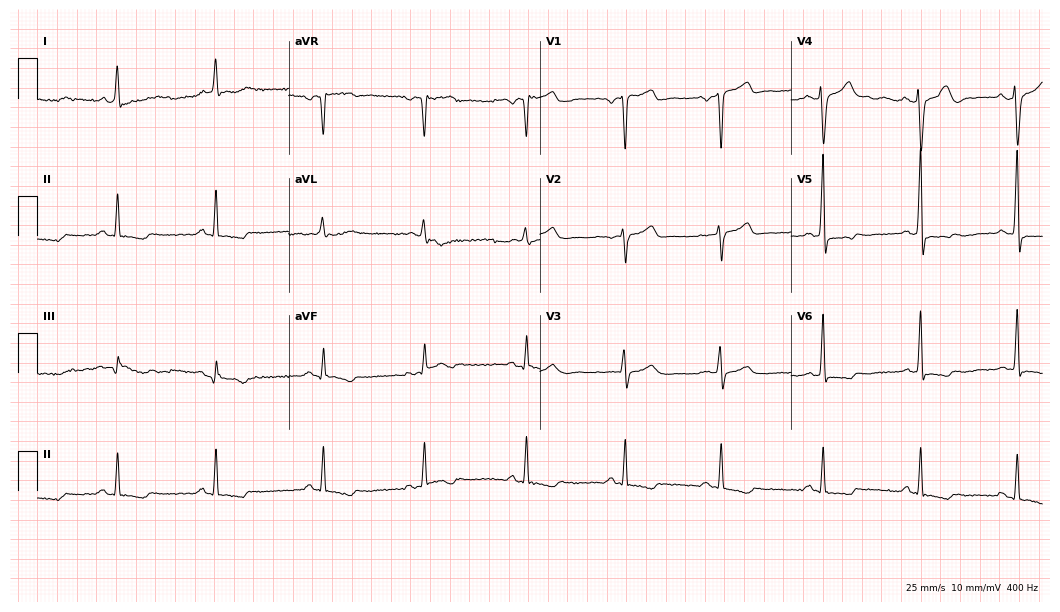
Standard 12-lead ECG recorded from a male patient, 64 years old. None of these six findings is recorded: first-degree AV block, right bundle branch block, left bundle branch block, sinus bradycardia, atrial fibrillation, sinus tachycardia.